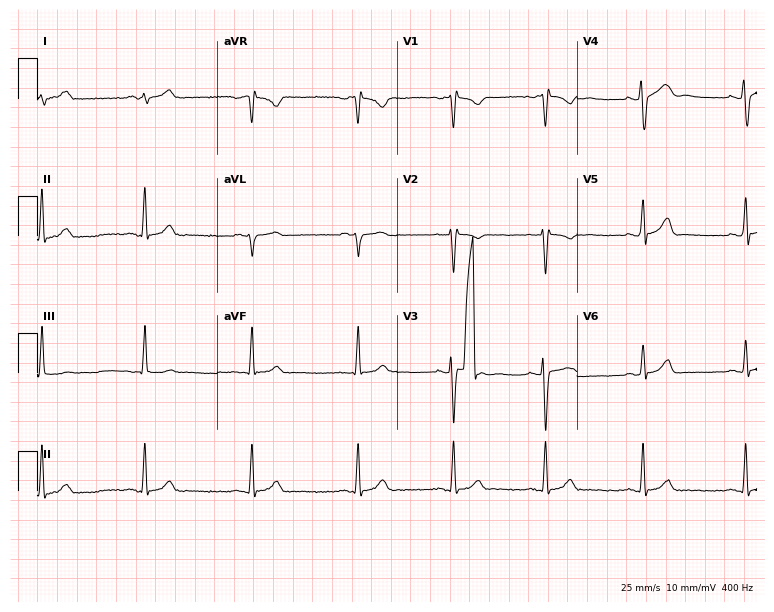
12-lead ECG from an 18-year-old woman. Screened for six findings — first-degree AV block, right bundle branch block, left bundle branch block, sinus bradycardia, atrial fibrillation, sinus tachycardia — none is recorded.